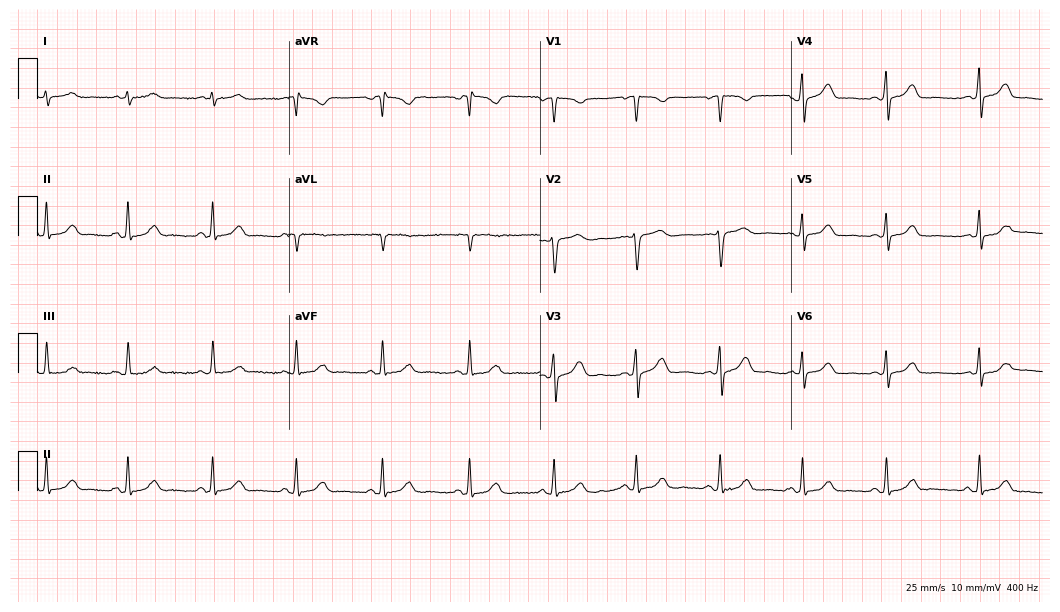
ECG — a female patient, 26 years old. Labelled as a normal ECG.